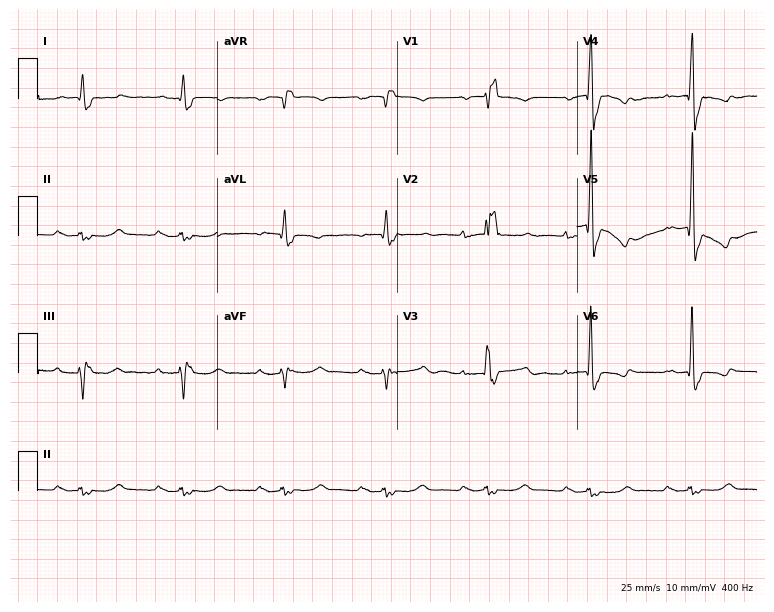
12-lead ECG from a 63-year-old male patient. Shows right bundle branch block.